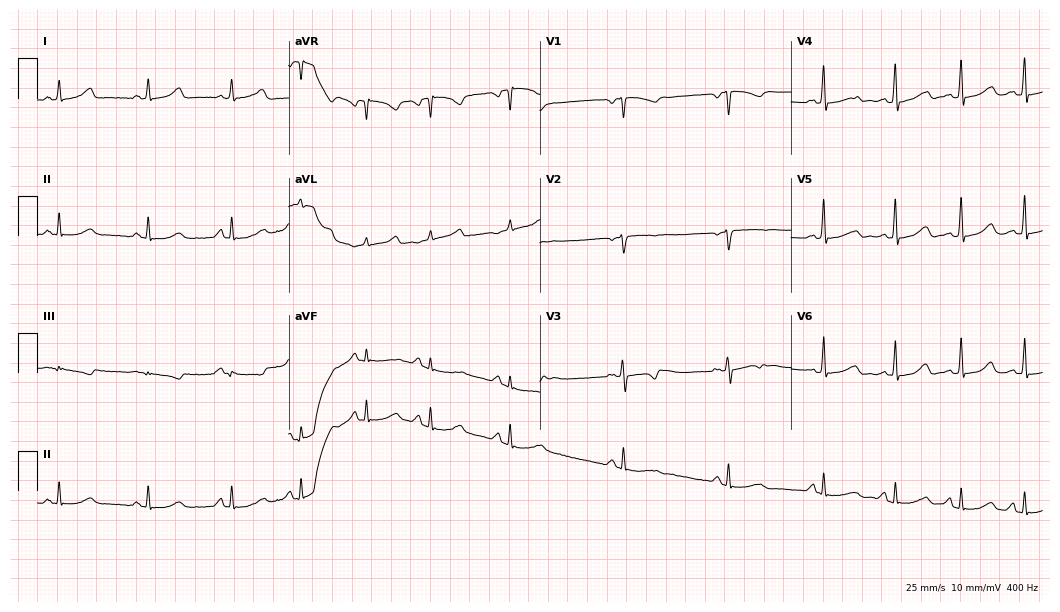
12-lead ECG from a female, 41 years old. No first-degree AV block, right bundle branch block, left bundle branch block, sinus bradycardia, atrial fibrillation or sinus tachycardia recorded for this tracing.